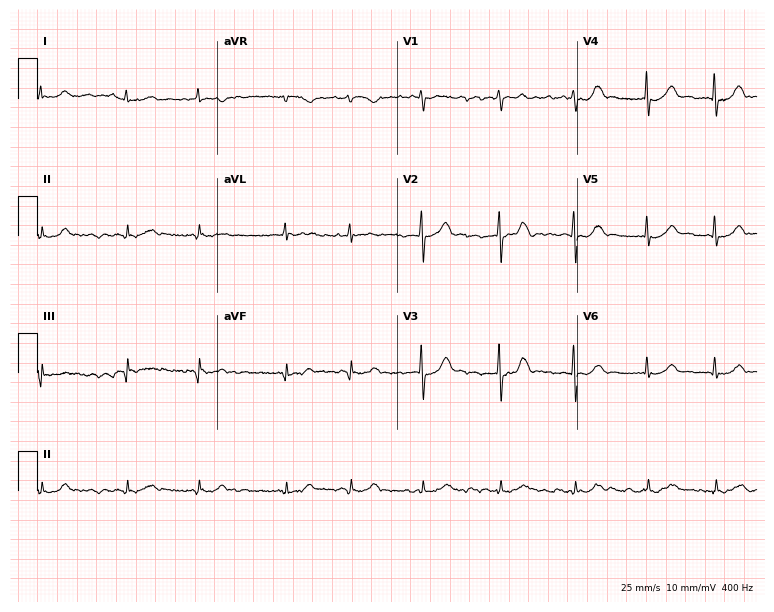
12-lead ECG from a 22-year-old man. Findings include atrial fibrillation.